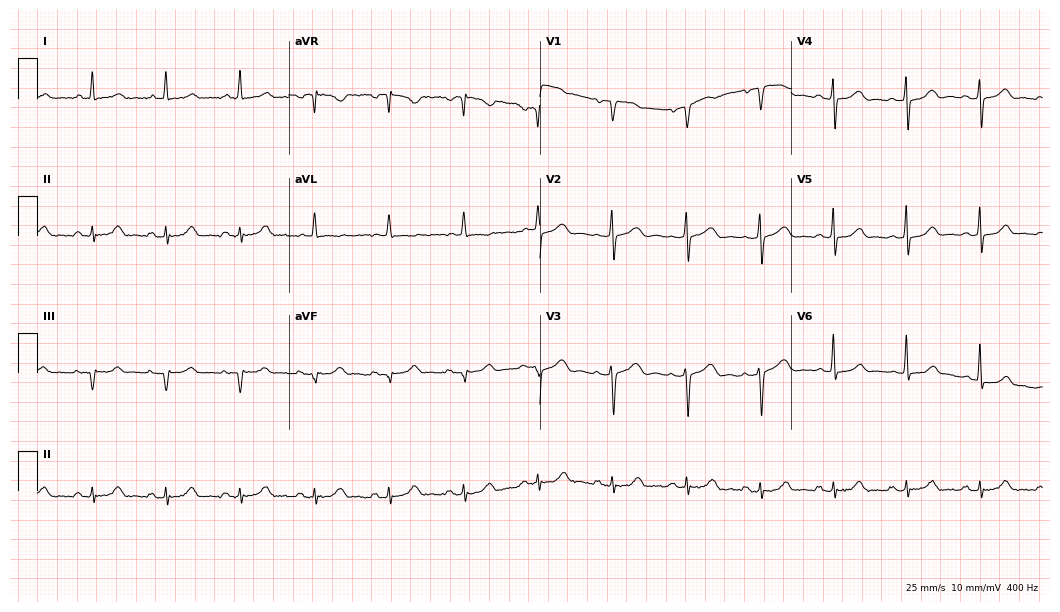
Standard 12-lead ECG recorded from a 62-year-old female (10.2-second recording at 400 Hz). Read as a normal ECG.